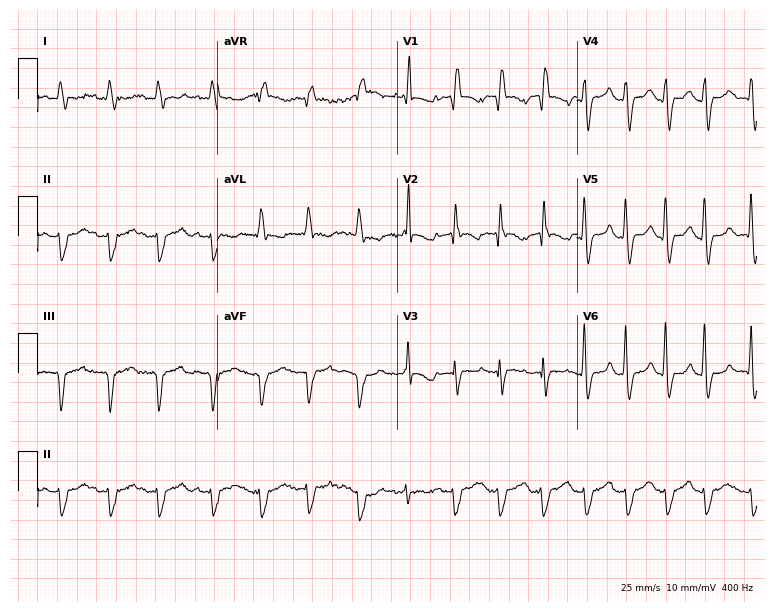
Electrocardiogram (7.3-second recording at 400 Hz), a woman, 64 years old. Interpretation includes right bundle branch block (RBBB), atrial fibrillation (AF), sinus tachycardia (a sinus rate of 100 beats per minute or more).